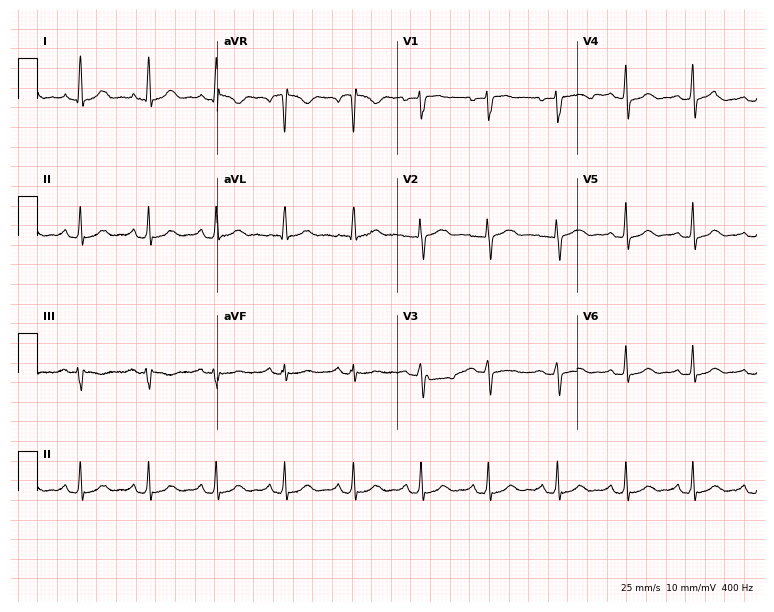
ECG — a 43-year-old female. Labelled as a normal ECG.